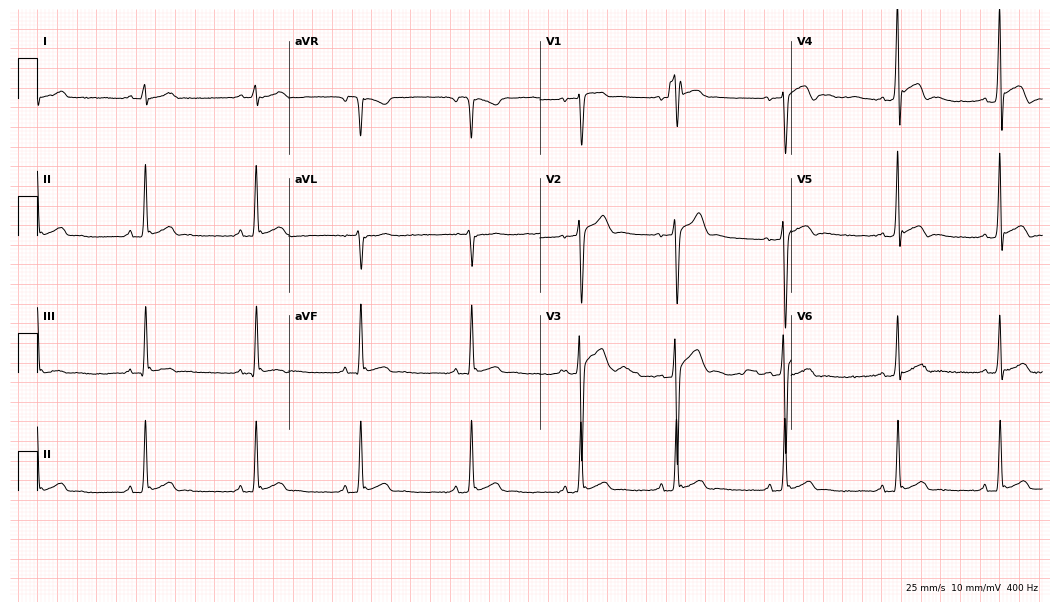
Resting 12-lead electrocardiogram. Patient: a male, 20 years old. None of these six findings is recorded: first-degree AV block, right bundle branch block, left bundle branch block, sinus bradycardia, atrial fibrillation, sinus tachycardia. Findings outside these six are not listed.